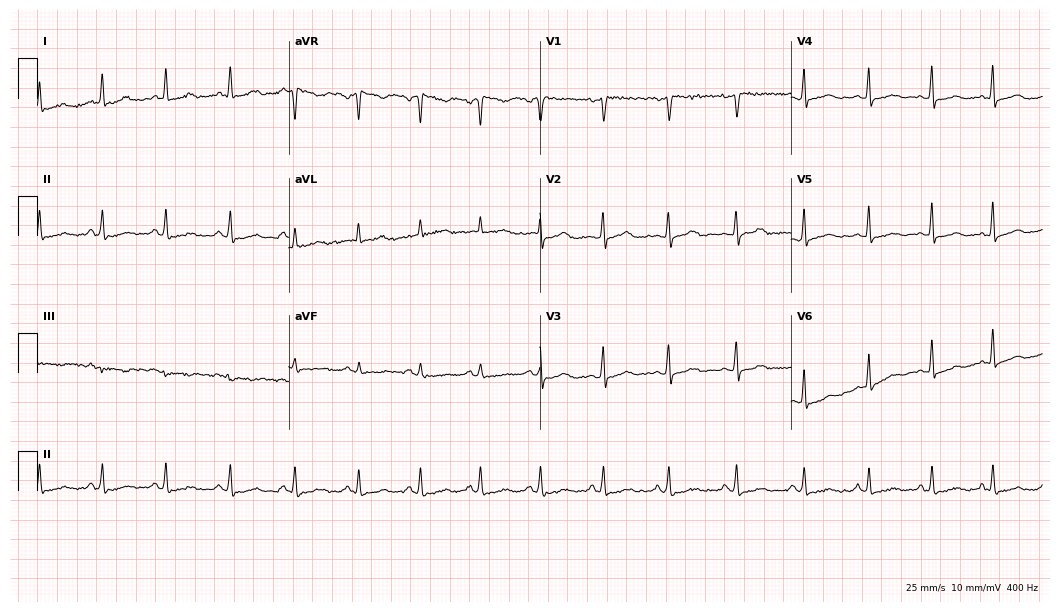
Standard 12-lead ECG recorded from a woman, 36 years old (10.2-second recording at 400 Hz). None of these six findings is recorded: first-degree AV block, right bundle branch block, left bundle branch block, sinus bradycardia, atrial fibrillation, sinus tachycardia. Only these six findings were labelled.